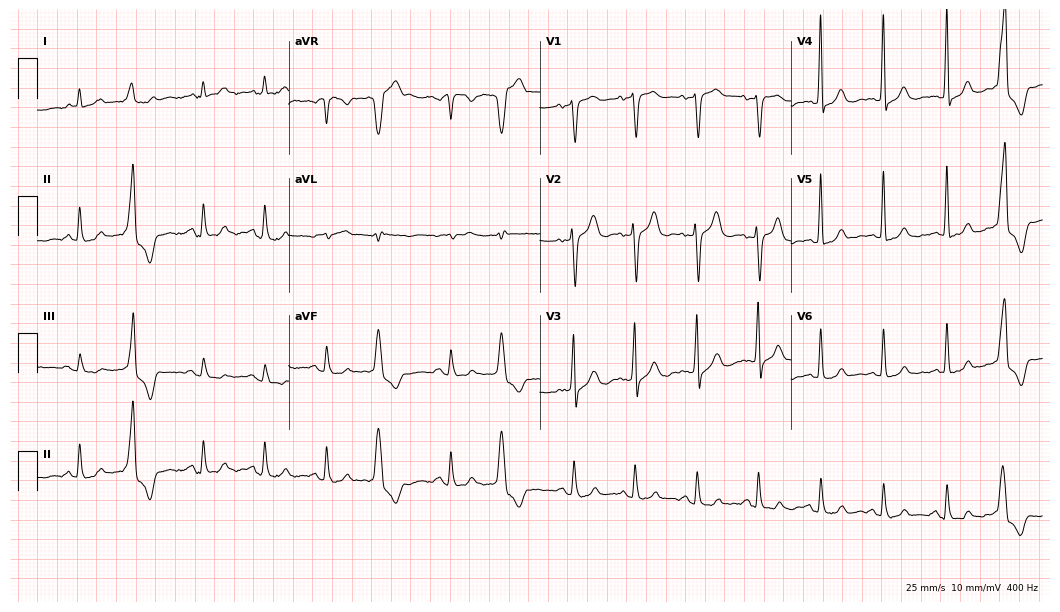
Resting 12-lead electrocardiogram. Patient: a male, 73 years old. None of these six findings is recorded: first-degree AV block, right bundle branch block (RBBB), left bundle branch block (LBBB), sinus bradycardia, atrial fibrillation (AF), sinus tachycardia. Only these six findings were labelled.